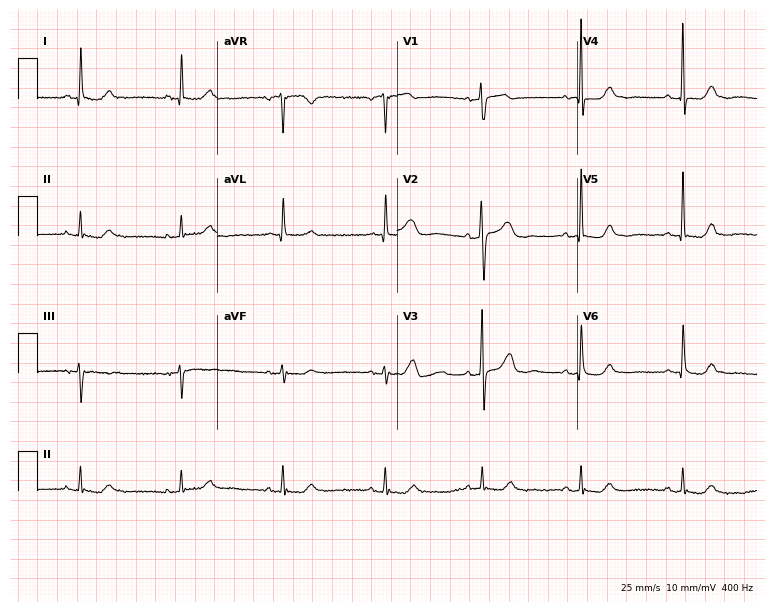
Standard 12-lead ECG recorded from a 71-year-old woman (7.3-second recording at 400 Hz). Read as a normal ECG.